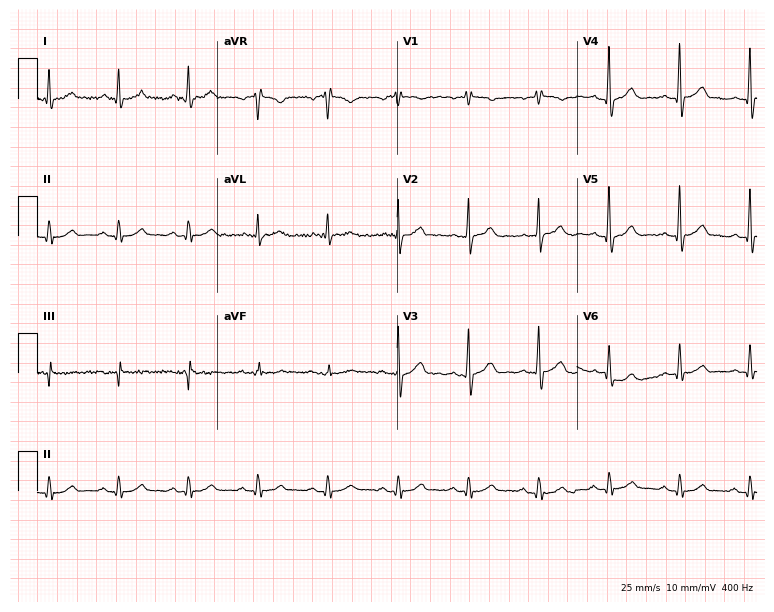
ECG (7.3-second recording at 400 Hz) — a 45-year-old man. Screened for six findings — first-degree AV block, right bundle branch block (RBBB), left bundle branch block (LBBB), sinus bradycardia, atrial fibrillation (AF), sinus tachycardia — none is recorded. Other findings, if any, are not listed.